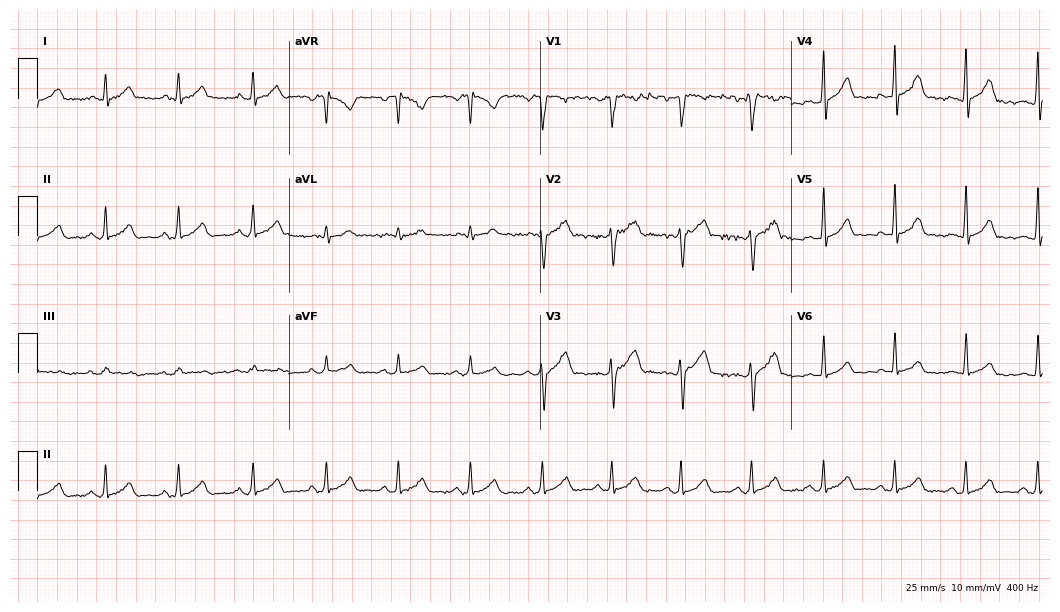
ECG (10.2-second recording at 400 Hz) — a female patient, 19 years old. Labelled as a normal ECG.